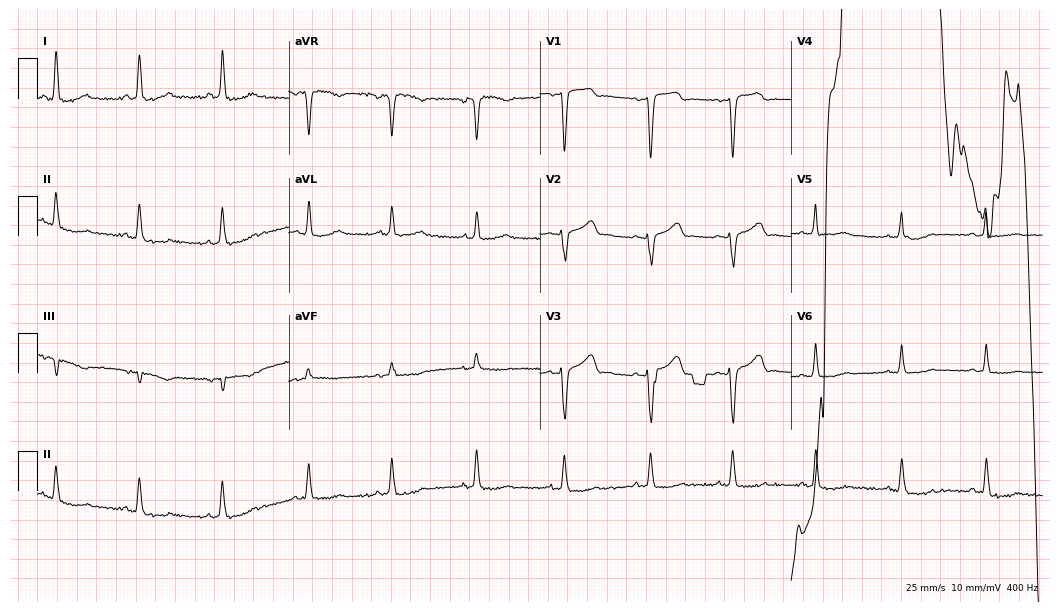
ECG — a 48-year-old woman. Screened for six findings — first-degree AV block, right bundle branch block (RBBB), left bundle branch block (LBBB), sinus bradycardia, atrial fibrillation (AF), sinus tachycardia — none is recorded. Findings outside these six are not listed.